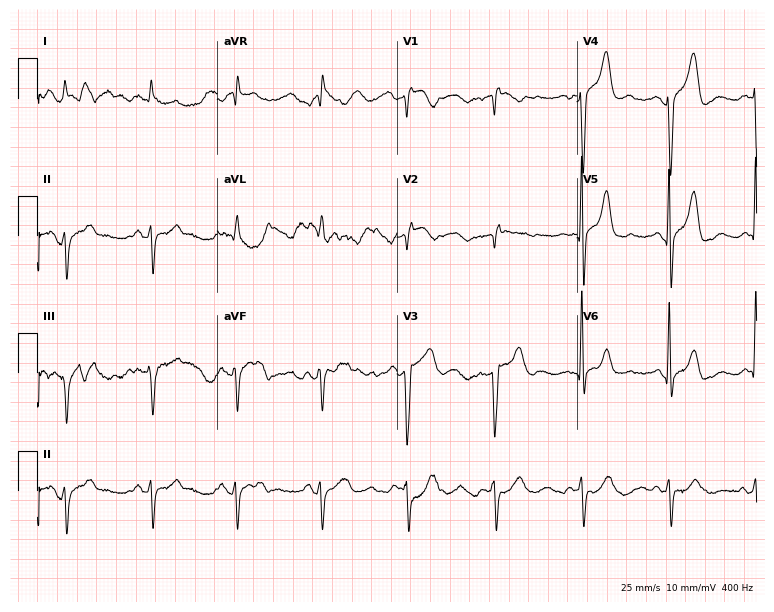
ECG — a 73-year-old male patient. Screened for six findings — first-degree AV block, right bundle branch block, left bundle branch block, sinus bradycardia, atrial fibrillation, sinus tachycardia — none is recorded. Findings outside these six are not listed.